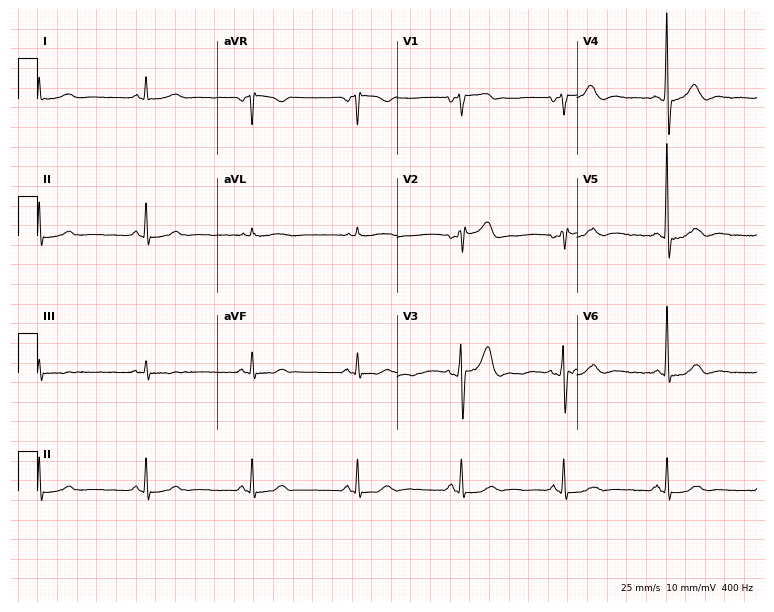
Resting 12-lead electrocardiogram. Patient: a man, 80 years old. None of these six findings is recorded: first-degree AV block, right bundle branch block, left bundle branch block, sinus bradycardia, atrial fibrillation, sinus tachycardia. Findings outside these six are not listed.